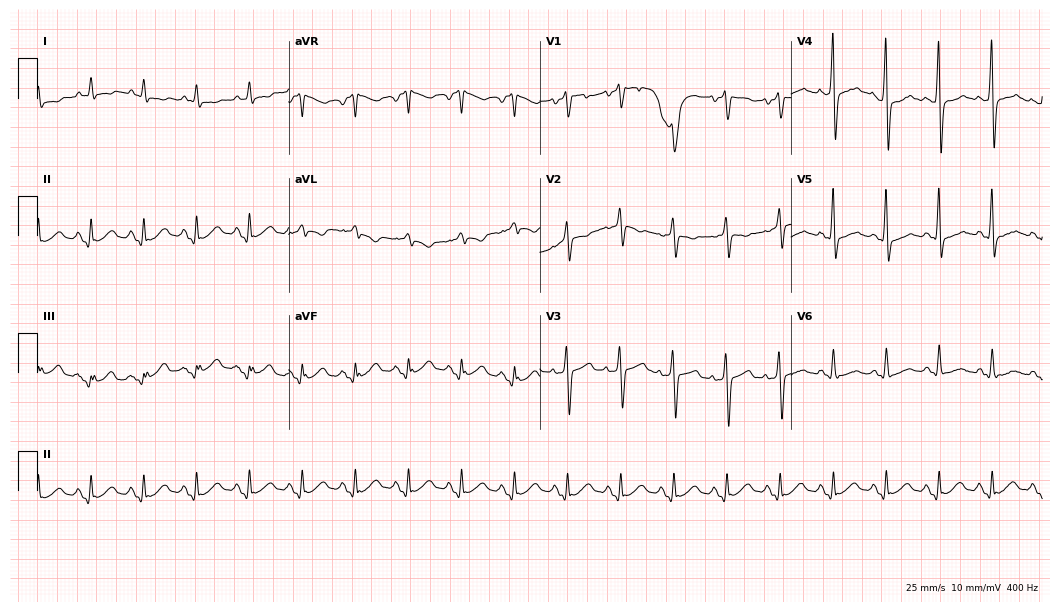
12-lead ECG from a 64-year-old male patient (10.2-second recording at 400 Hz). Shows sinus tachycardia (a sinus rate of 100 beats per minute or more).